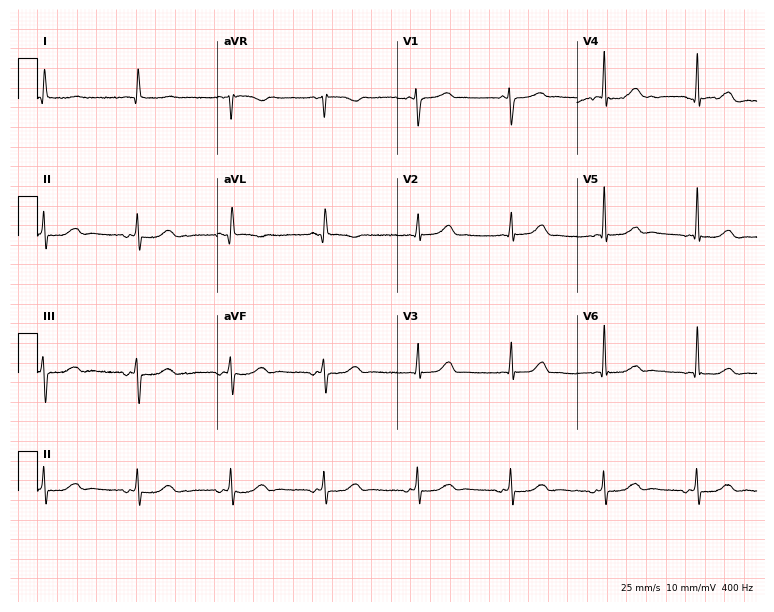
12-lead ECG (7.3-second recording at 400 Hz) from a female, 47 years old. Screened for six findings — first-degree AV block, right bundle branch block, left bundle branch block, sinus bradycardia, atrial fibrillation, sinus tachycardia — none is recorded. Other findings, if any, are not listed.